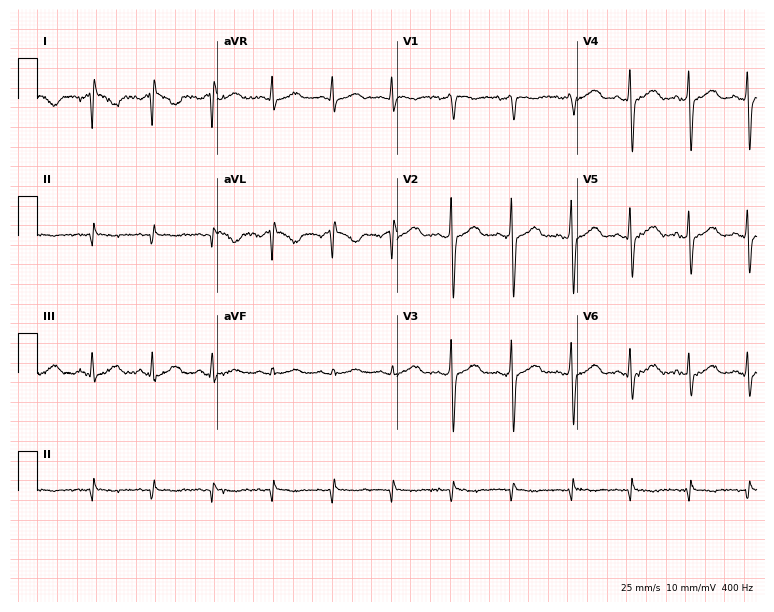
Resting 12-lead electrocardiogram. Patient: a 56-year-old woman. None of these six findings is recorded: first-degree AV block, right bundle branch block, left bundle branch block, sinus bradycardia, atrial fibrillation, sinus tachycardia. Only these six findings were labelled.